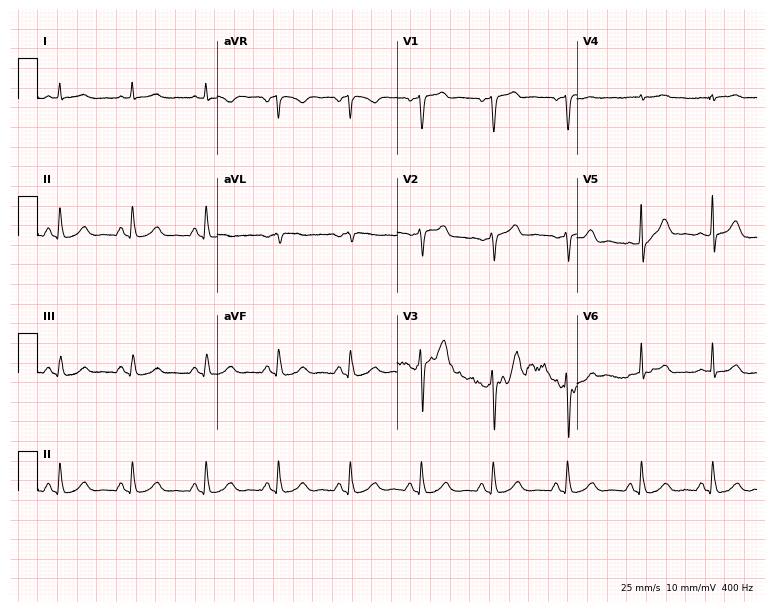
Electrocardiogram, a 61-year-old male patient. Of the six screened findings (first-degree AV block, right bundle branch block, left bundle branch block, sinus bradycardia, atrial fibrillation, sinus tachycardia), none is recorded. Findings outside these six are not listed.